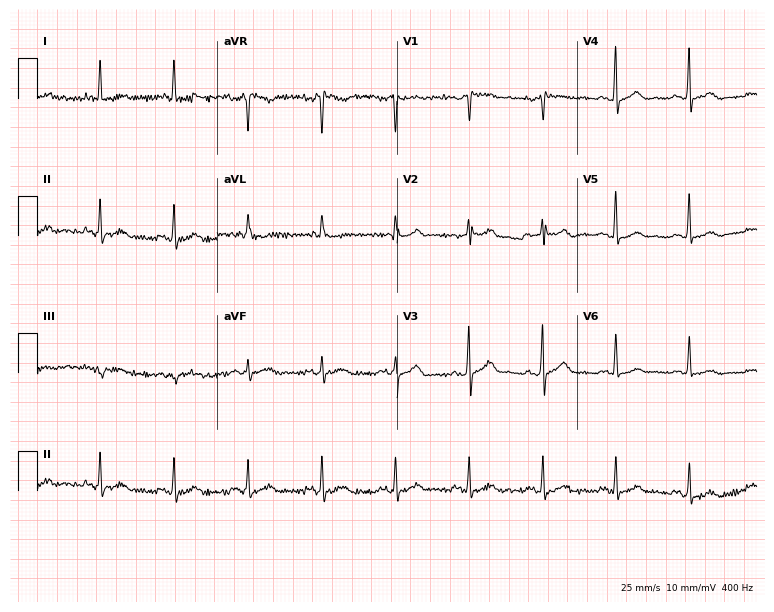
Electrocardiogram (7.3-second recording at 400 Hz), a male, 65 years old. Of the six screened findings (first-degree AV block, right bundle branch block, left bundle branch block, sinus bradycardia, atrial fibrillation, sinus tachycardia), none is recorded.